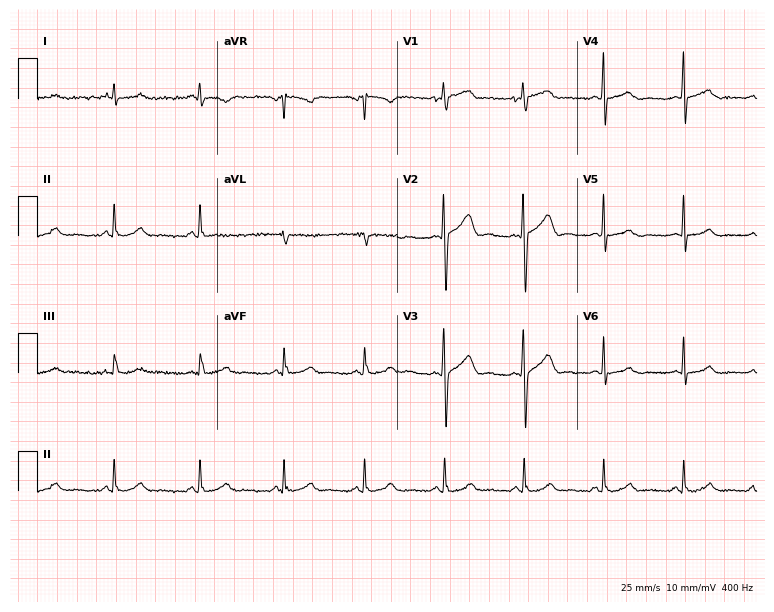
Electrocardiogram (7.3-second recording at 400 Hz), a 29-year-old woman. Of the six screened findings (first-degree AV block, right bundle branch block, left bundle branch block, sinus bradycardia, atrial fibrillation, sinus tachycardia), none is recorded.